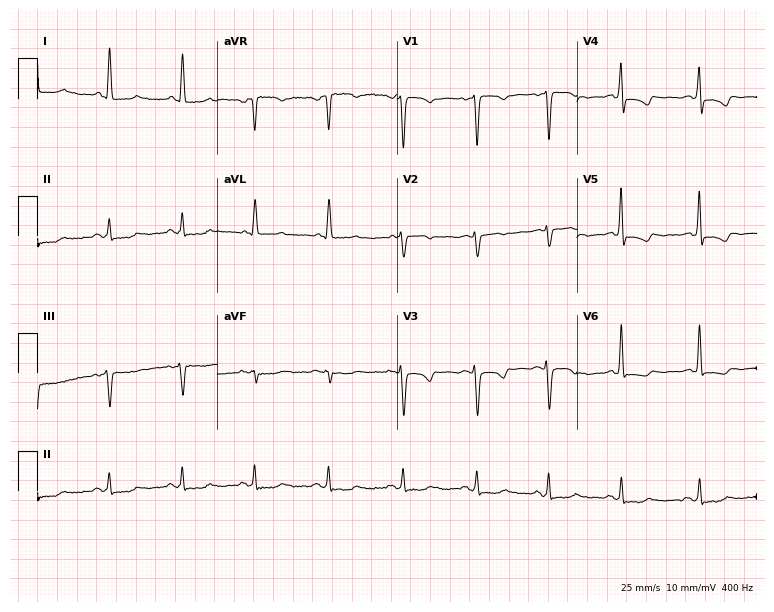
12-lead ECG (7.3-second recording at 400 Hz) from a 58-year-old female. Screened for six findings — first-degree AV block, right bundle branch block, left bundle branch block, sinus bradycardia, atrial fibrillation, sinus tachycardia — none is recorded.